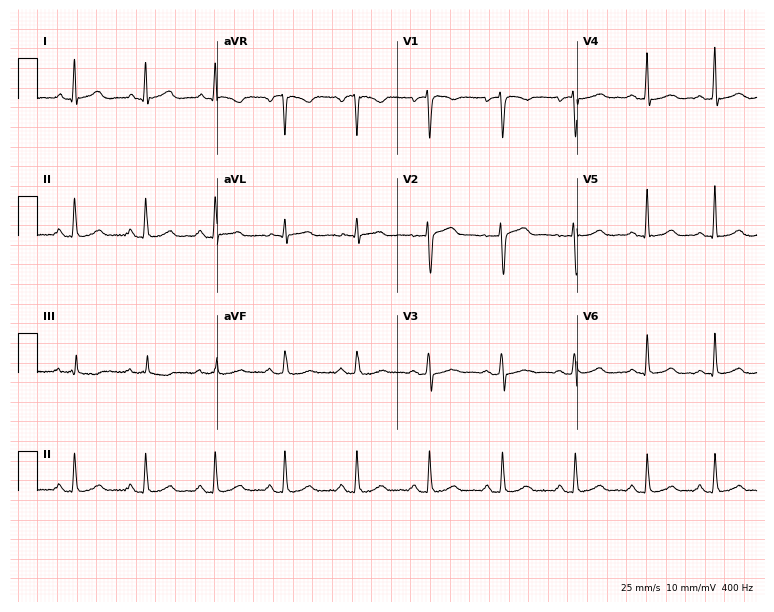
ECG — a 34-year-old female. Labelled as a normal ECG.